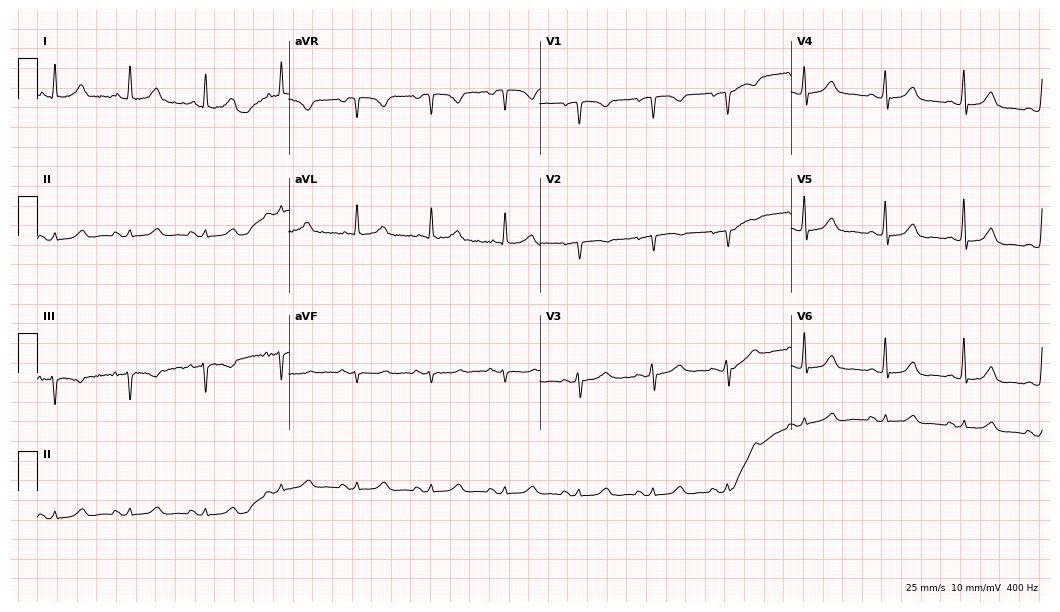
12-lead ECG from a 50-year-old female patient. No first-degree AV block, right bundle branch block, left bundle branch block, sinus bradycardia, atrial fibrillation or sinus tachycardia recorded for this tracing.